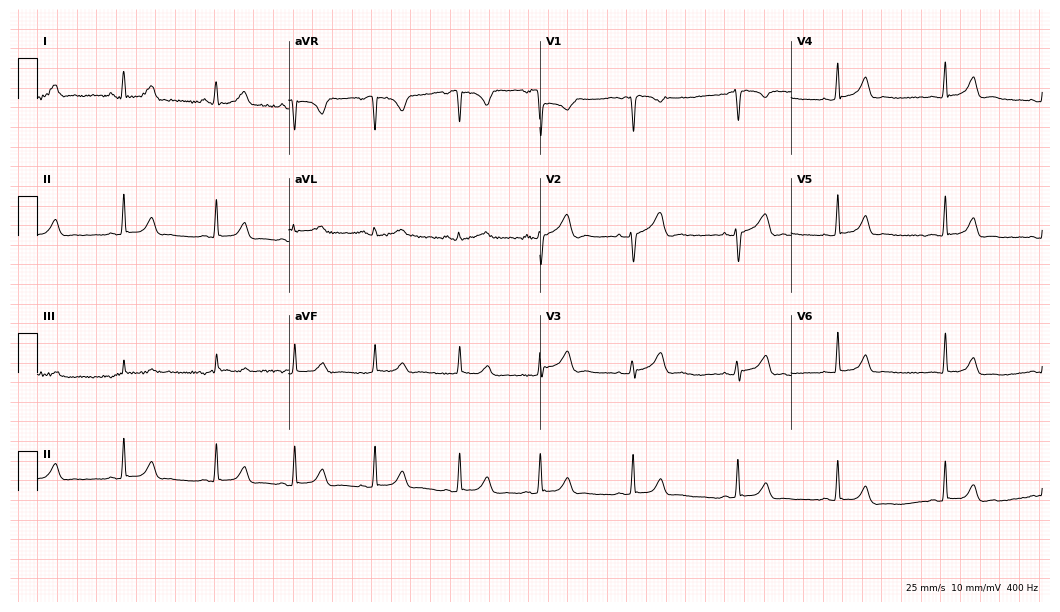
12-lead ECG (10.2-second recording at 400 Hz) from a 21-year-old woman. Labelled as a normal ECG.